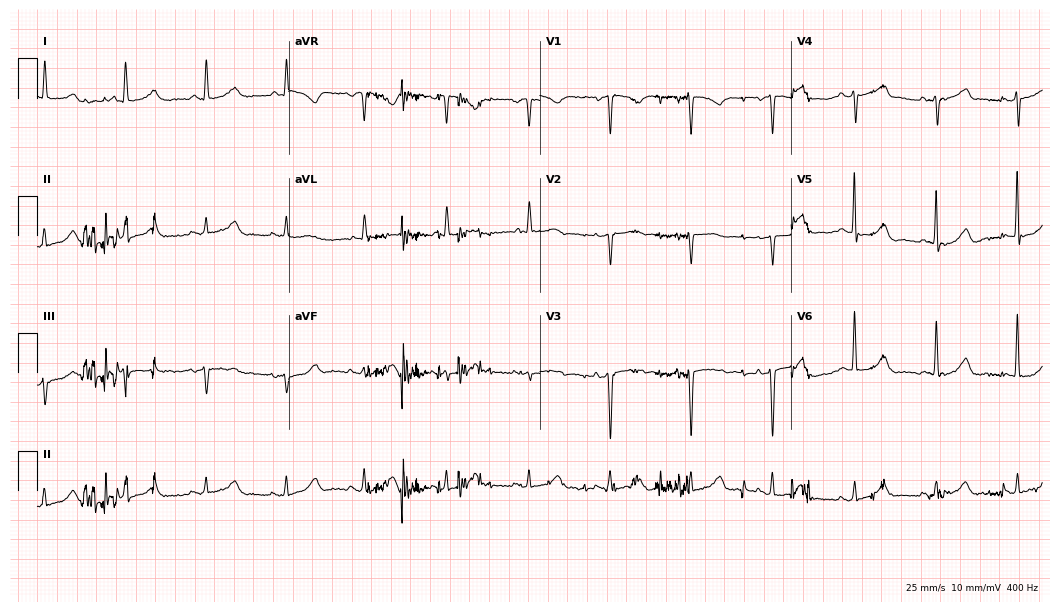
Electrocardiogram (10.2-second recording at 400 Hz), a 68-year-old female. Of the six screened findings (first-degree AV block, right bundle branch block (RBBB), left bundle branch block (LBBB), sinus bradycardia, atrial fibrillation (AF), sinus tachycardia), none is recorded.